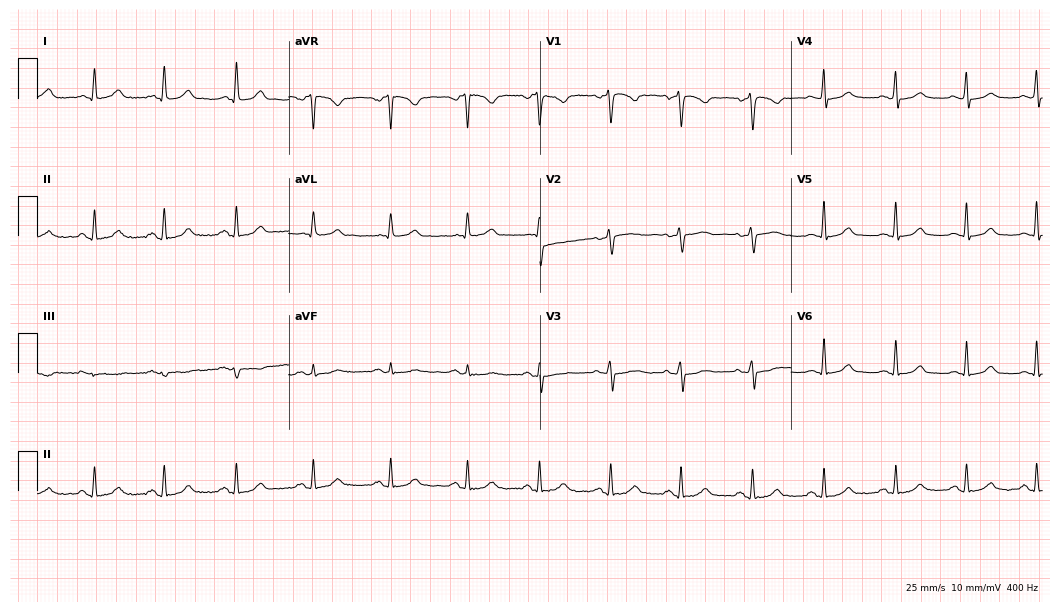
12-lead ECG from a 47-year-old female patient (10.2-second recording at 400 Hz). Recorded interpretation: within normal limits.